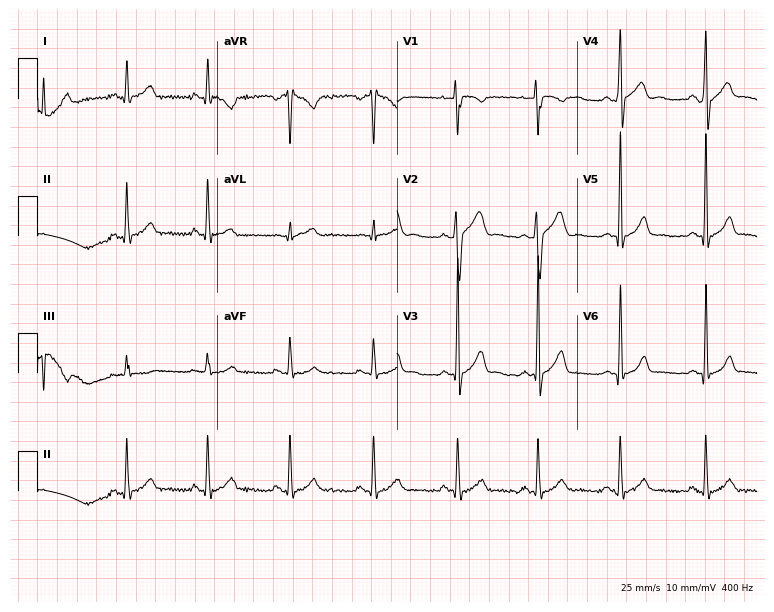
Standard 12-lead ECG recorded from a male, 22 years old (7.3-second recording at 400 Hz). Read as a normal ECG.